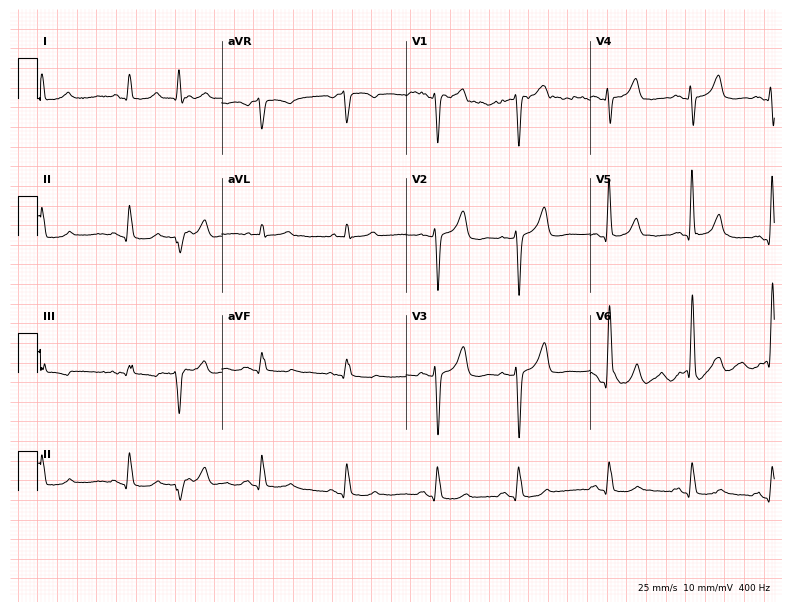
Standard 12-lead ECG recorded from a male patient, 81 years old. None of these six findings is recorded: first-degree AV block, right bundle branch block (RBBB), left bundle branch block (LBBB), sinus bradycardia, atrial fibrillation (AF), sinus tachycardia.